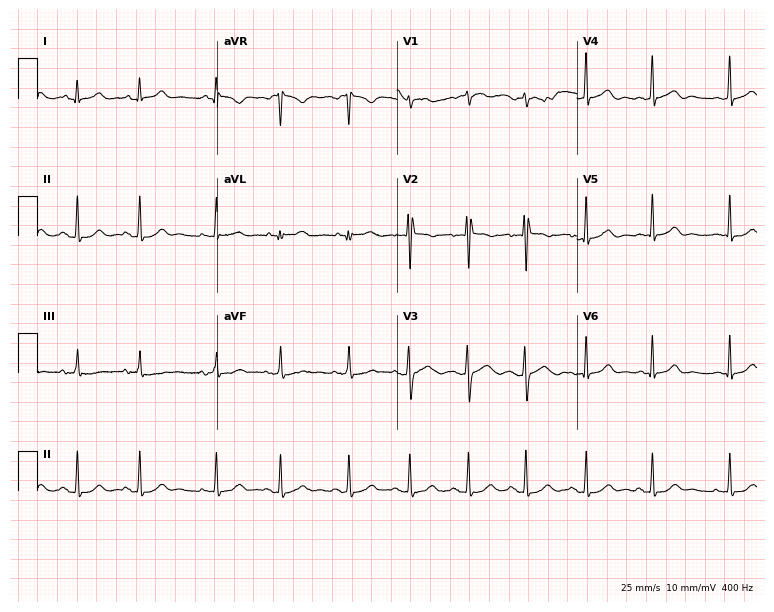
Resting 12-lead electrocardiogram. Patient: a 23-year-old female. Read as a normal ECG.